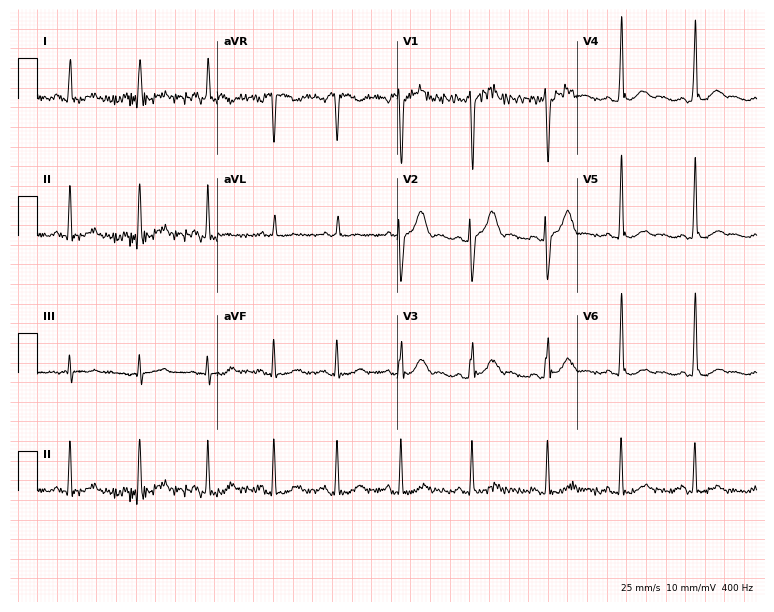
Resting 12-lead electrocardiogram. Patient: a male, 28 years old. None of these six findings is recorded: first-degree AV block, right bundle branch block (RBBB), left bundle branch block (LBBB), sinus bradycardia, atrial fibrillation (AF), sinus tachycardia. Other findings, if any, are not listed.